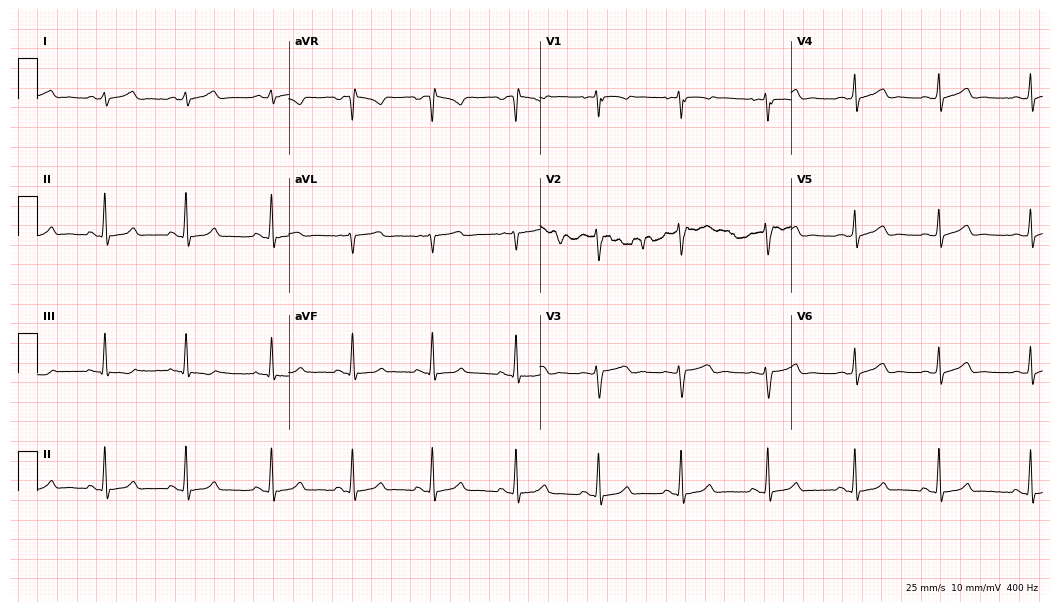
ECG — a 21-year-old woman. Labelled as a normal ECG.